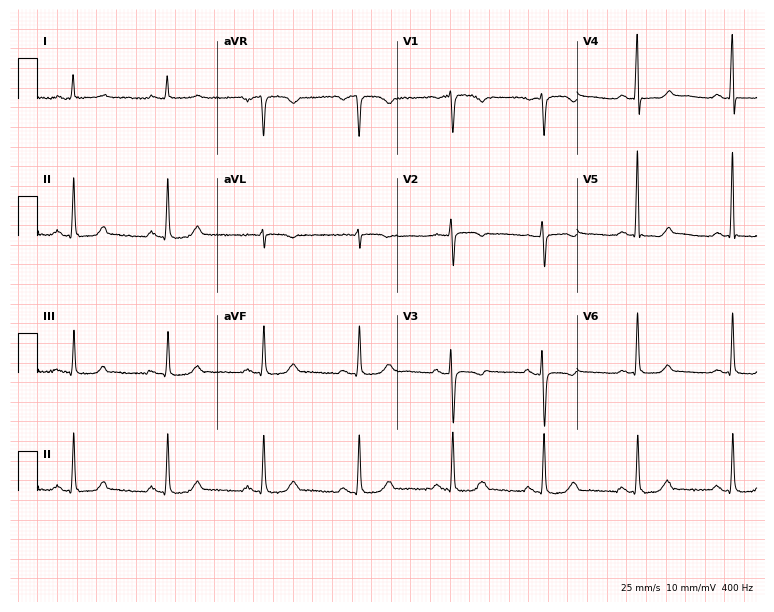
Electrocardiogram (7.3-second recording at 400 Hz), a female patient, 52 years old. Overall reading on record: normal ECG.